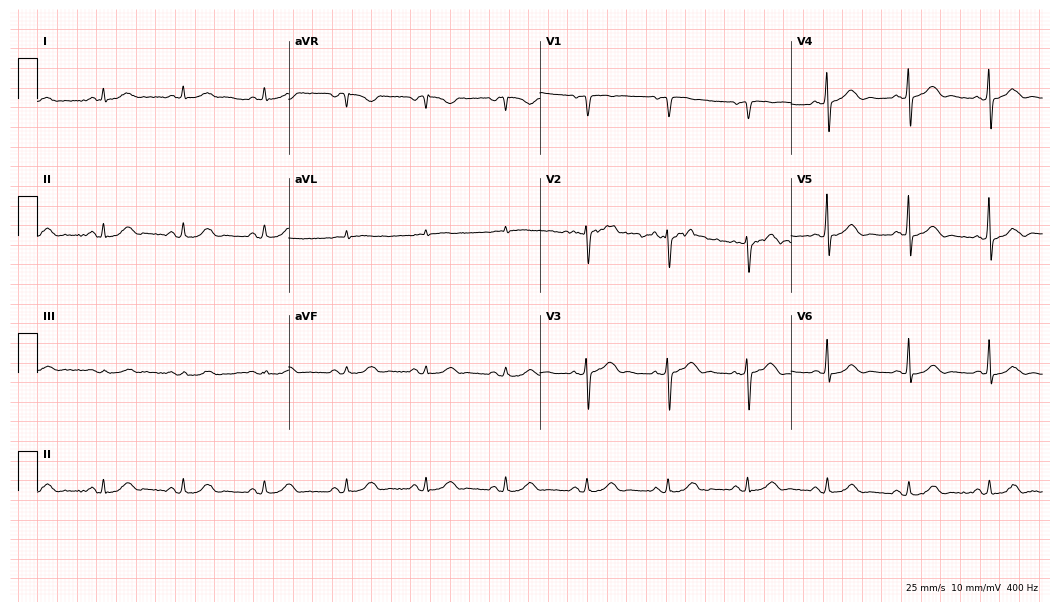
12-lead ECG from a 72-year-old male. Labelled as a normal ECG.